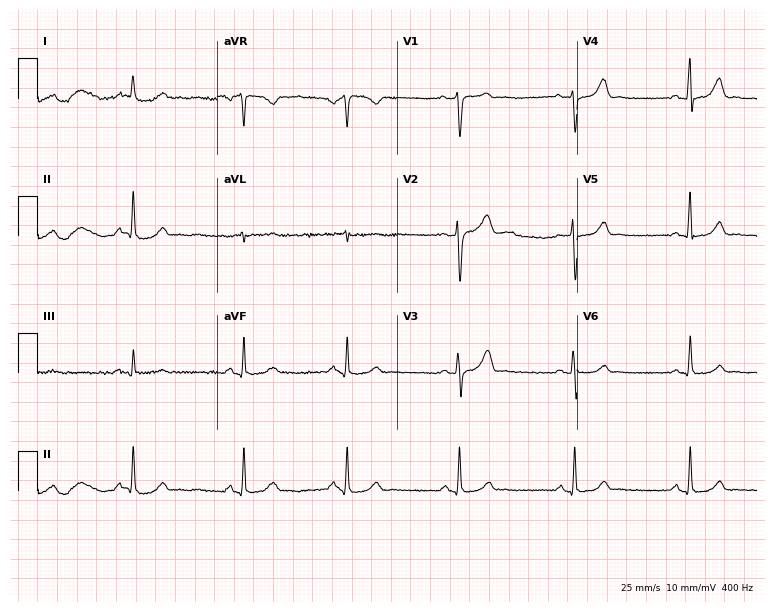
12-lead ECG from a female patient, 41 years old. No first-degree AV block, right bundle branch block, left bundle branch block, sinus bradycardia, atrial fibrillation or sinus tachycardia recorded for this tracing.